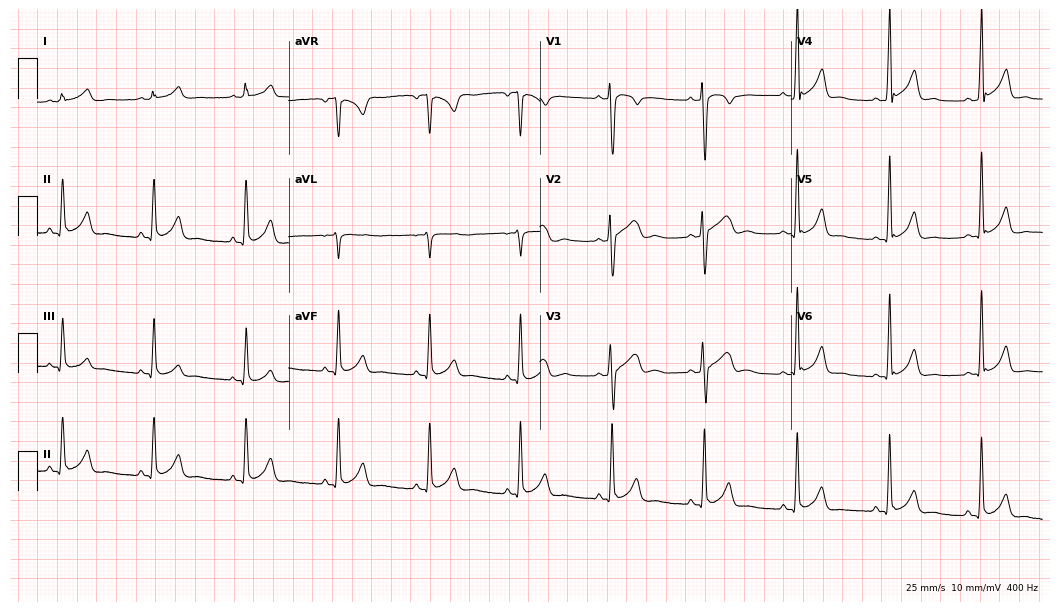
Standard 12-lead ECG recorded from a man, 18 years old. Read as a normal ECG.